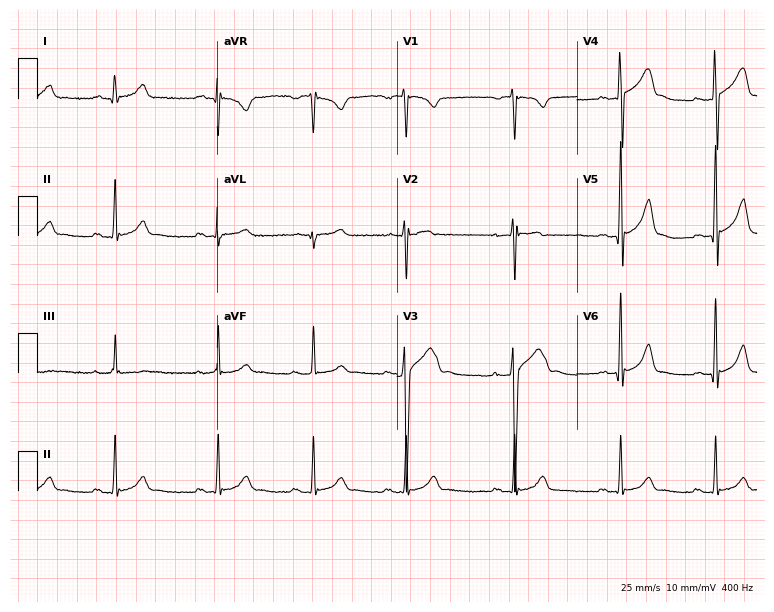
ECG (7.3-second recording at 400 Hz) — a male, 17 years old. Labelled as a normal ECG.